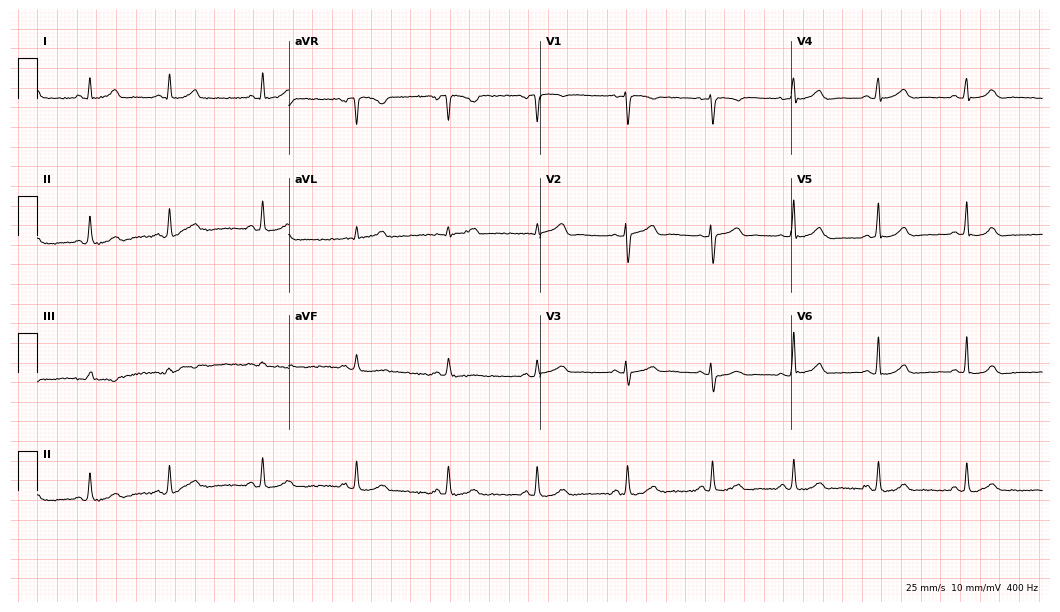
12-lead ECG from a 41-year-old woman. Recorded interpretation: within normal limits.